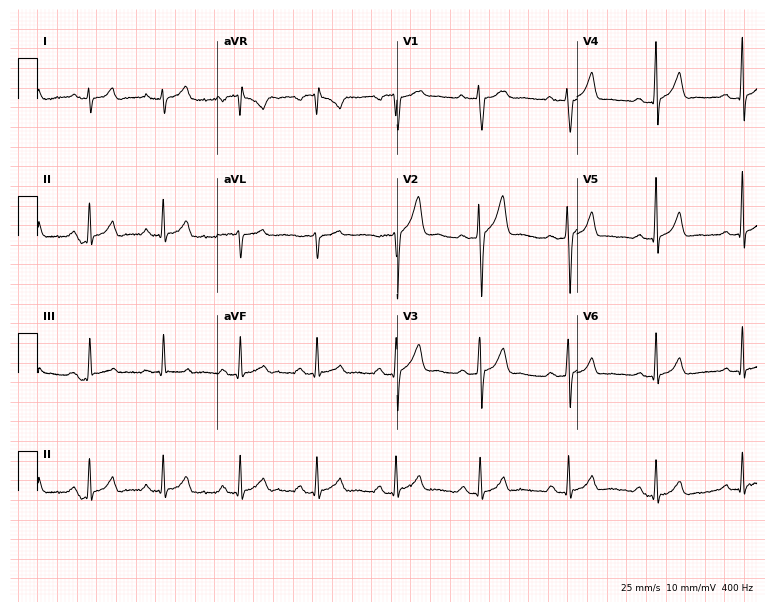
ECG — a male, 33 years old. Screened for six findings — first-degree AV block, right bundle branch block, left bundle branch block, sinus bradycardia, atrial fibrillation, sinus tachycardia — none is recorded.